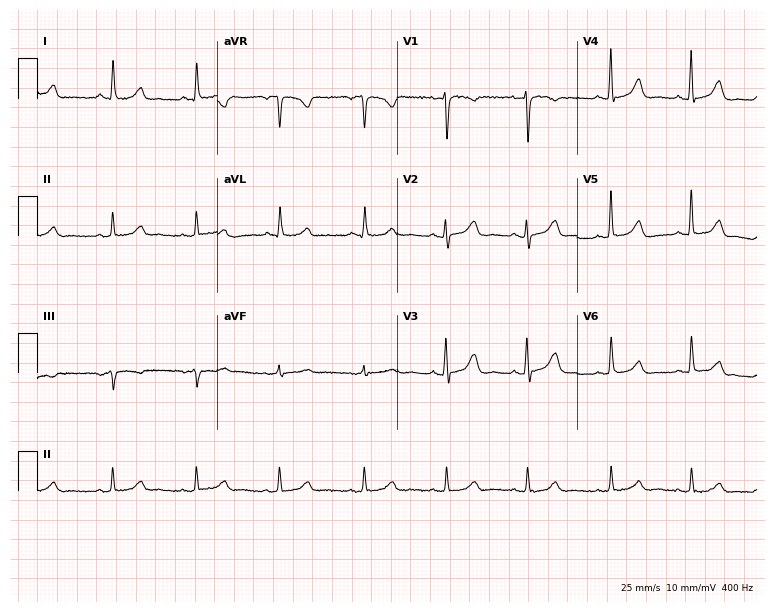
12-lead ECG from a woman, 38 years old (7.3-second recording at 400 Hz). No first-degree AV block, right bundle branch block, left bundle branch block, sinus bradycardia, atrial fibrillation or sinus tachycardia recorded for this tracing.